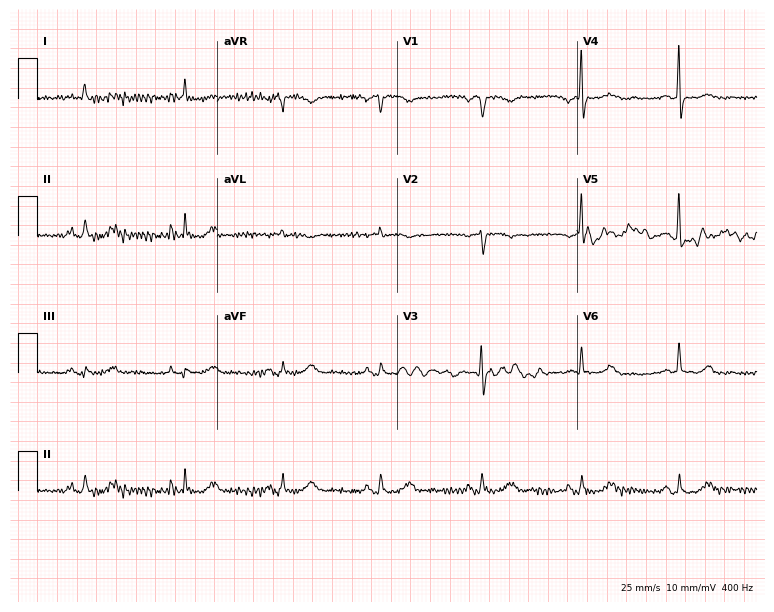
12-lead ECG from a female, 81 years old. Labelled as a normal ECG.